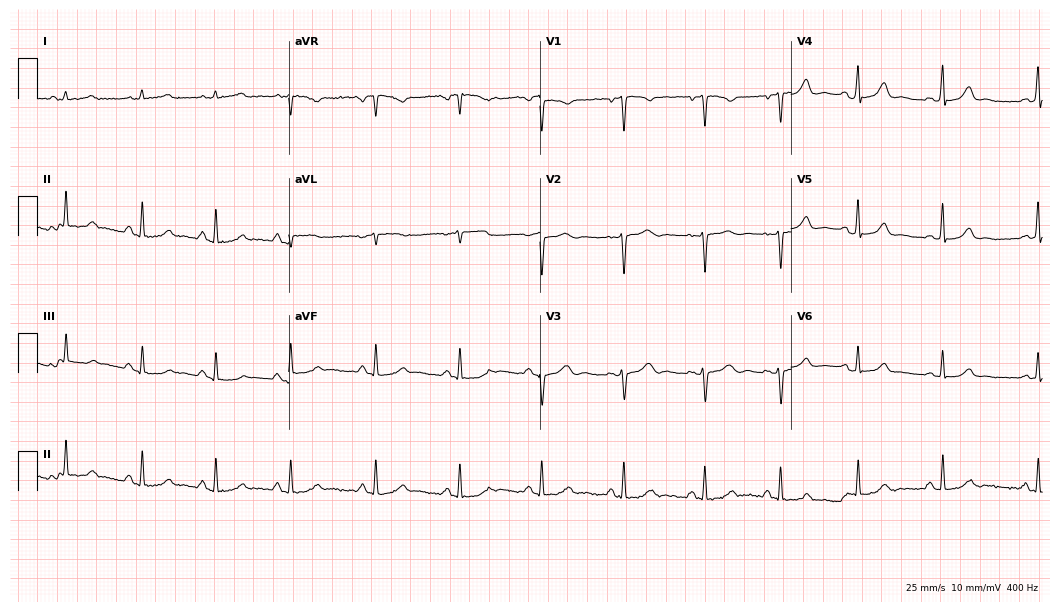
Standard 12-lead ECG recorded from a female, 41 years old. Read as a normal ECG.